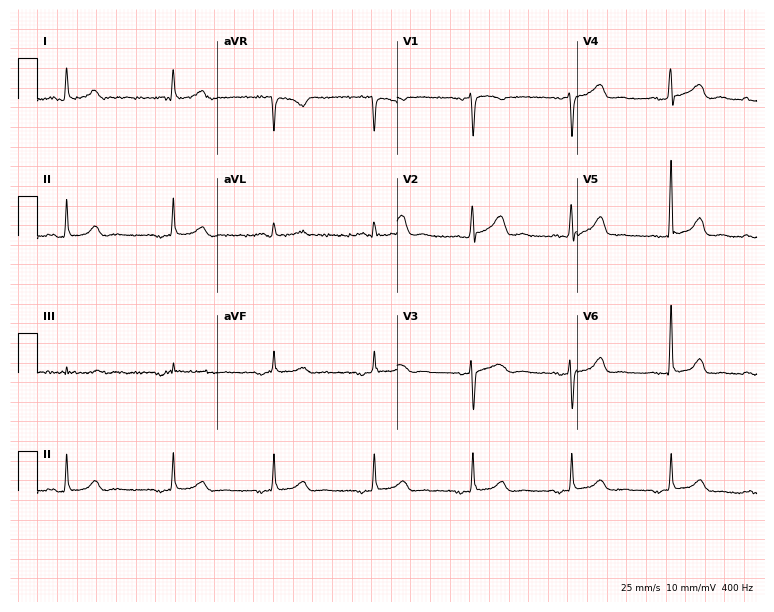
Standard 12-lead ECG recorded from a female patient, 66 years old (7.3-second recording at 400 Hz). Read as a normal ECG.